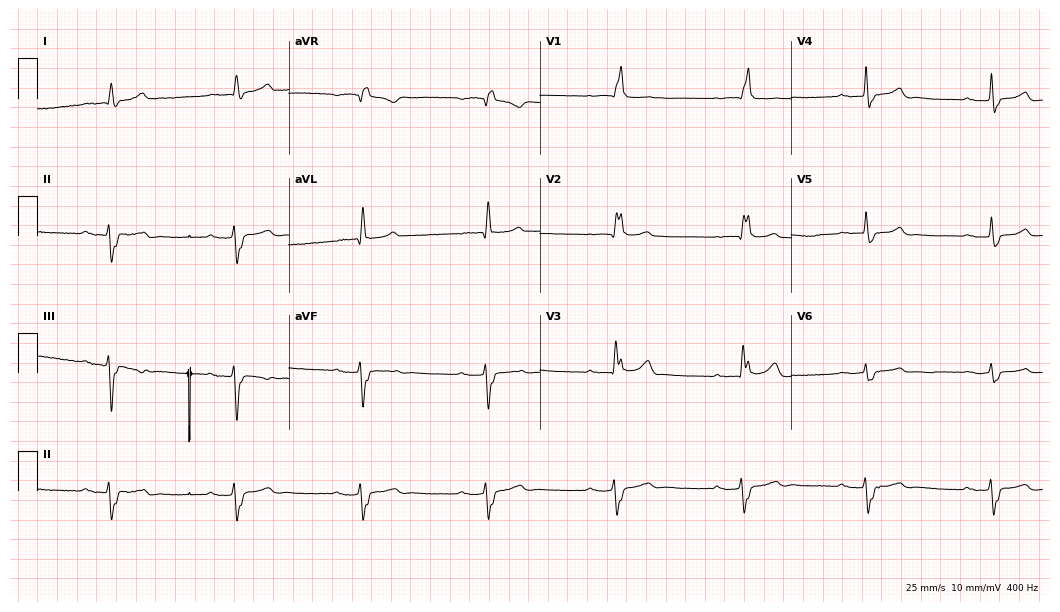
Standard 12-lead ECG recorded from an 81-year-old male (10.2-second recording at 400 Hz). The tracing shows first-degree AV block, right bundle branch block.